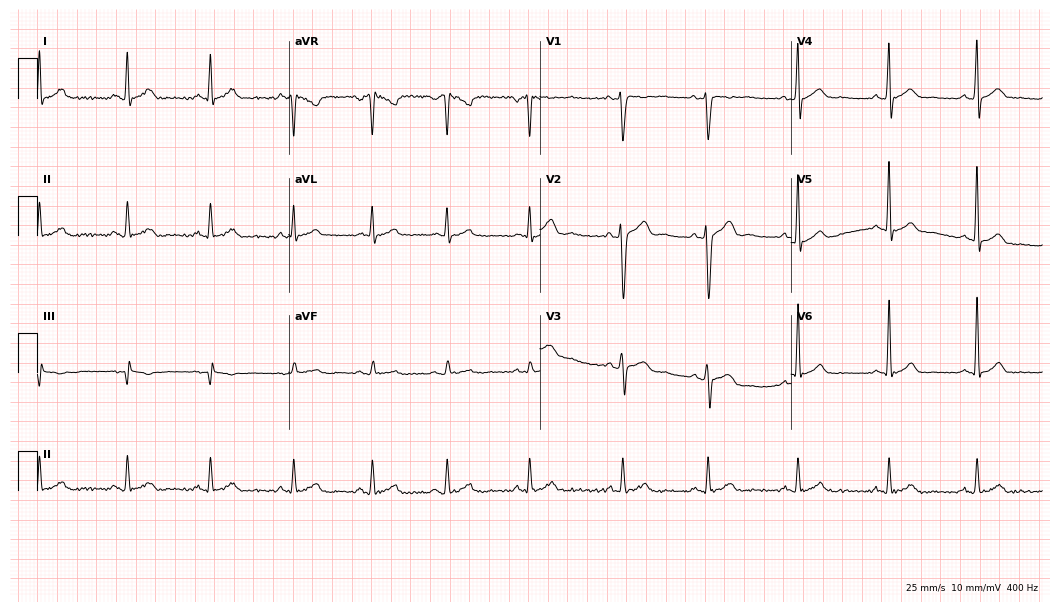
ECG (10.2-second recording at 400 Hz) — a 42-year-old male patient. Labelled as a normal ECG.